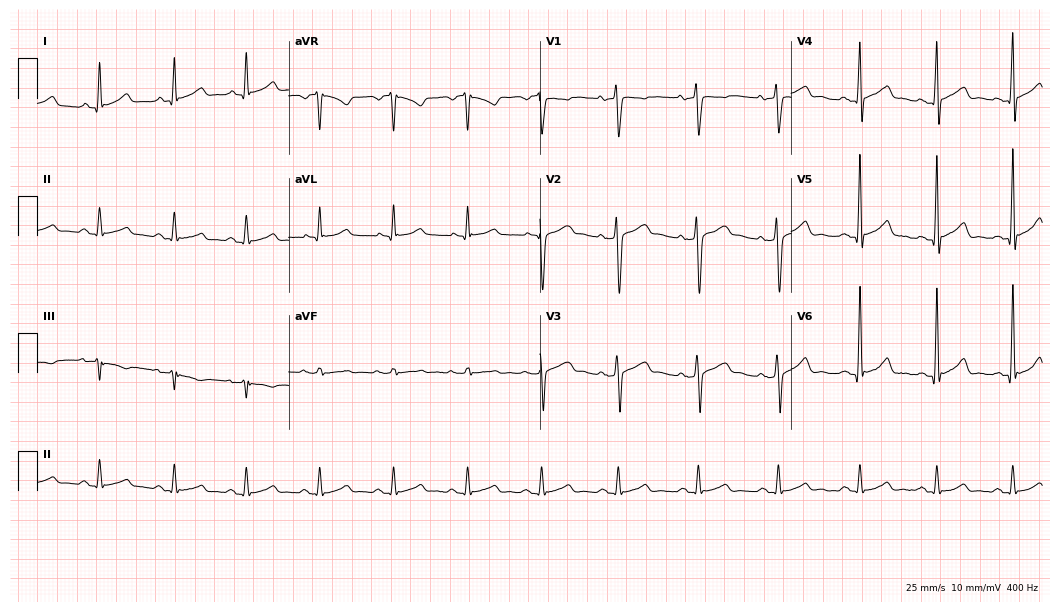
Electrocardiogram (10.2-second recording at 400 Hz), a 56-year-old male patient. Overall reading on record: normal ECG.